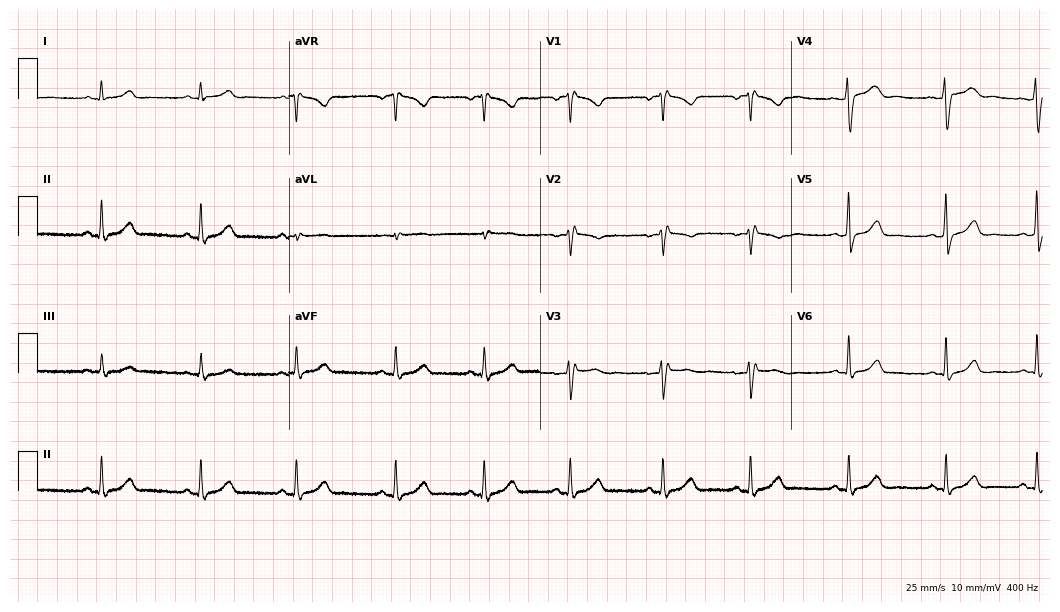
ECG (10.2-second recording at 400 Hz) — a woman, 29 years old. Screened for six findings — first-degree AV block, right bundle branch block, left bundle branch block, sinus bradycardia, atrial fibrillation, sinus tachycardia — none is recorded.